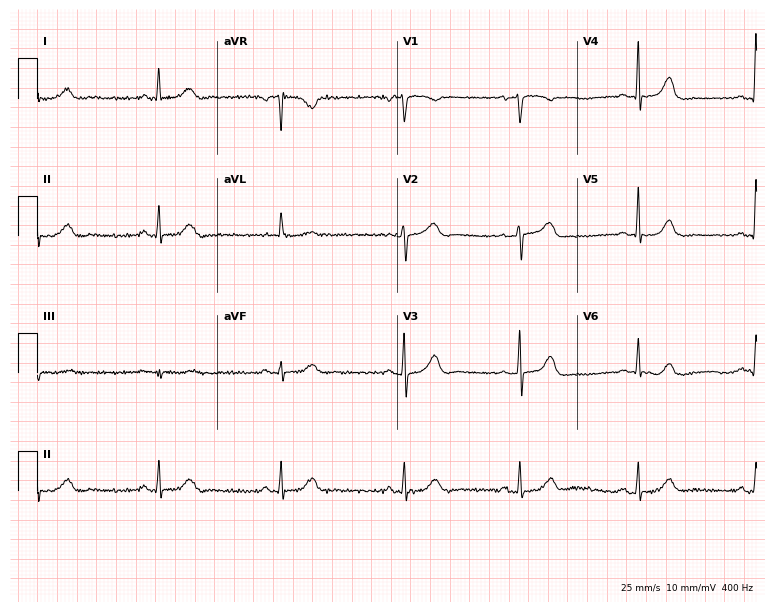
12-lead ECG from a 73-year-old woman. Screened for six findings — first-degree AV block, right bundle branch block (RBBB), left bundle branch block (LBBB), sinus bradycardia, atrial fibrillation (AF), sinus tachycardia — none is recorded. Other findings, if any, are not listed.